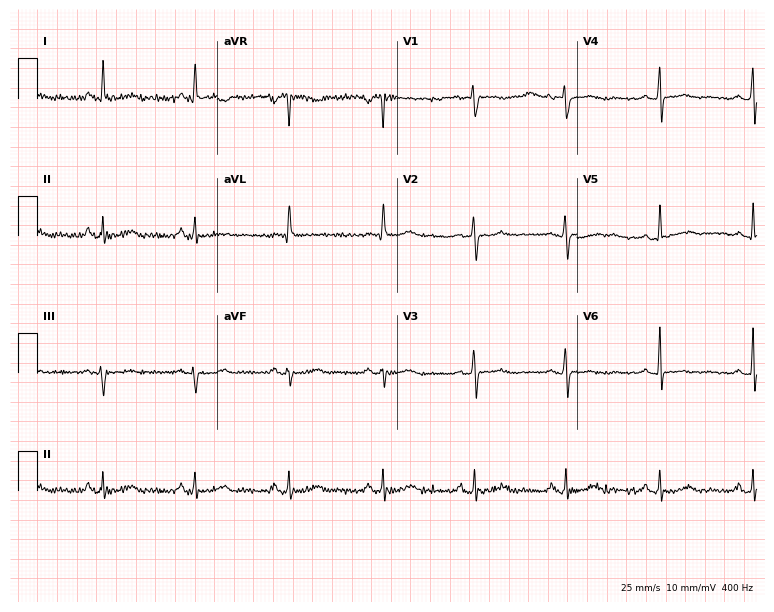
12-lead ECG (7.3-second recording at 400 Hz) from a 58-year-old female patient. Screened for six findings — first-degree AV block, right bundle branch block, left bundle branch block, sinus bradycardia, atrial fibrillation, sinus tachycardia — none is recorded.